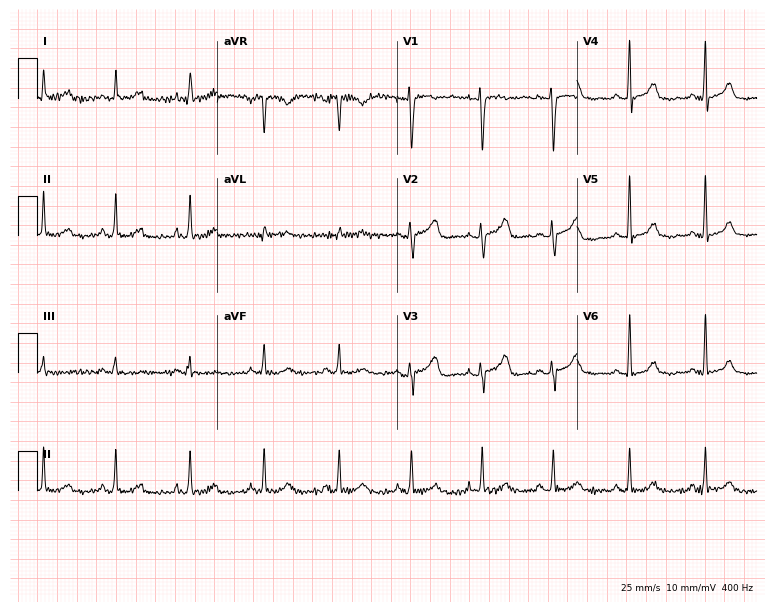
12-lead ECG (7.3-second recording at 400 Hz) from a 45-year-old female patient. Screened for six findings — first-degree AV block, right bundle branch block, left bundle branch block, sinus bradycardia, atrial fibrillation, sinus tachycardia — none is recorded.